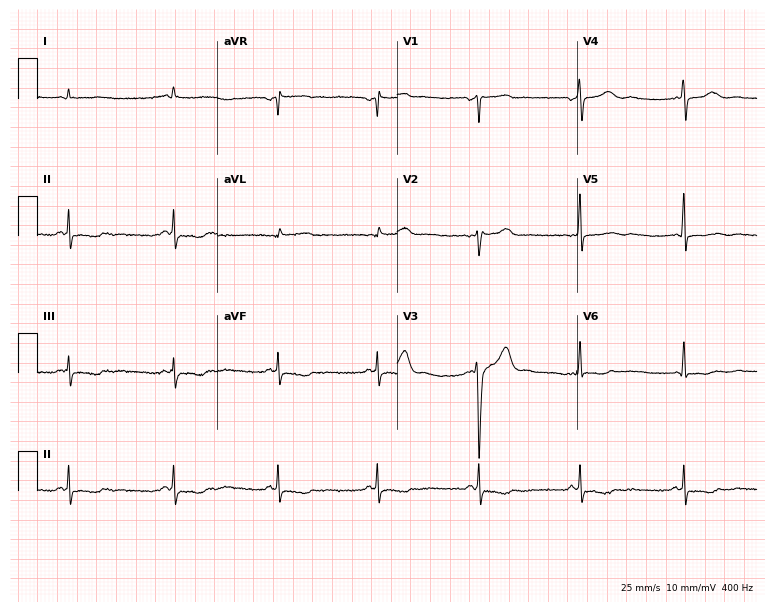
Electrocardiogram, a 42-year-old female. Of the six screened findings (first-degree AV block, right bundle branch block, left bundle branch block, sinus bradycardia, atrial fibrillation, sinus tachycardia), none is recorded. Only these six findings were labelled.